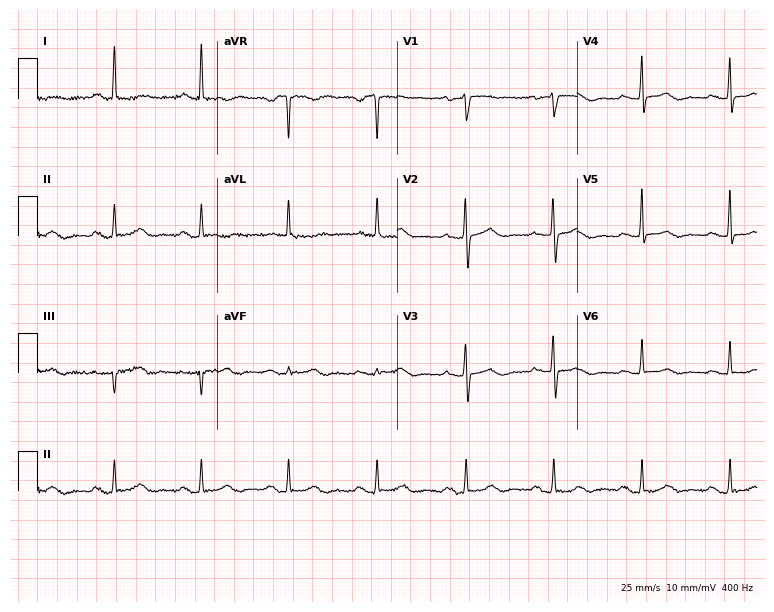
Electrocardiogram (7.3-second recording at 400 Hz), a female patient, 70 years old. Overall reading on record: normal ECG.